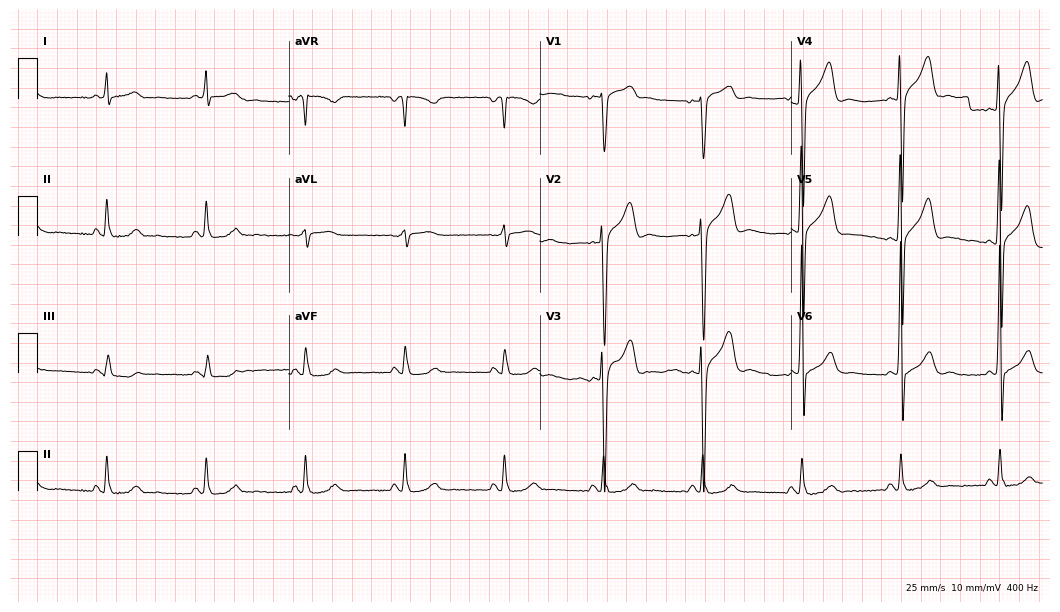
Resting 12-lead electrocardiogram (10.2-second recording at 400 Hz). Patient: a female, 64 years old. None of these six findings is recorded: first-degree AV block, right bundle branch block, left bundle branch block, sinus bradycardia, atrial fibrillation, sinus tachycardia. Other findings, if any, are not listed.